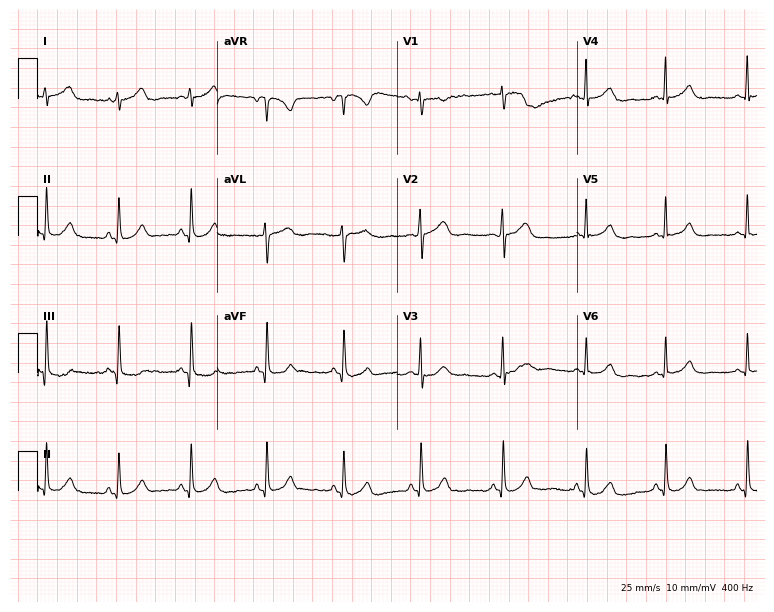
Electrocardiogram, a 31-year-old female patient. Of the six screened findings (first-degree AV block, right bundle branch block (RBBB), left bundle branch block (LBBB), sinus bradycardia, atrial fibrillation (AF), sinus tachycardia), none is recorded.